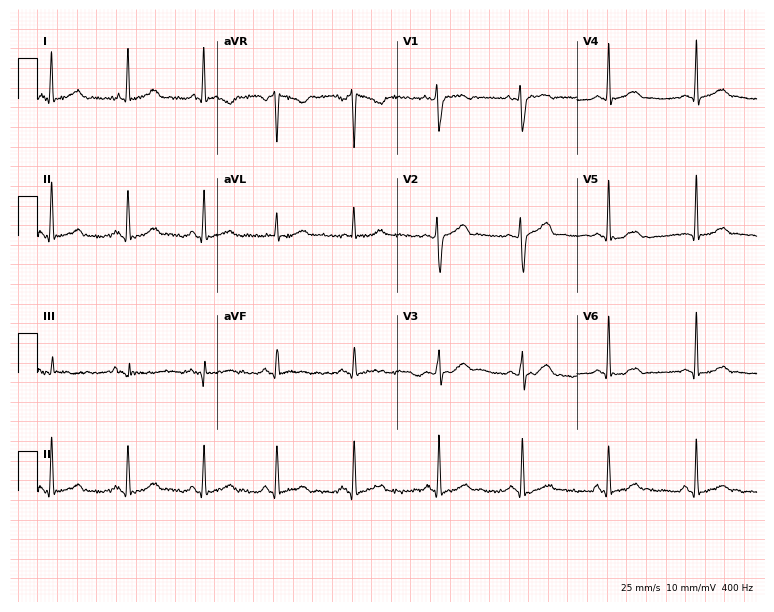
12-lead ECG (7.3-second recording at 400 Hz) from a woman, 28 years old. Screened for six findings — first-degree AV block, right bundle branch block, left bundle branch block, sinus bradycardia, atrial fibrillation, sinus tachycardia — none is recorded. Only these six findings were labelled.